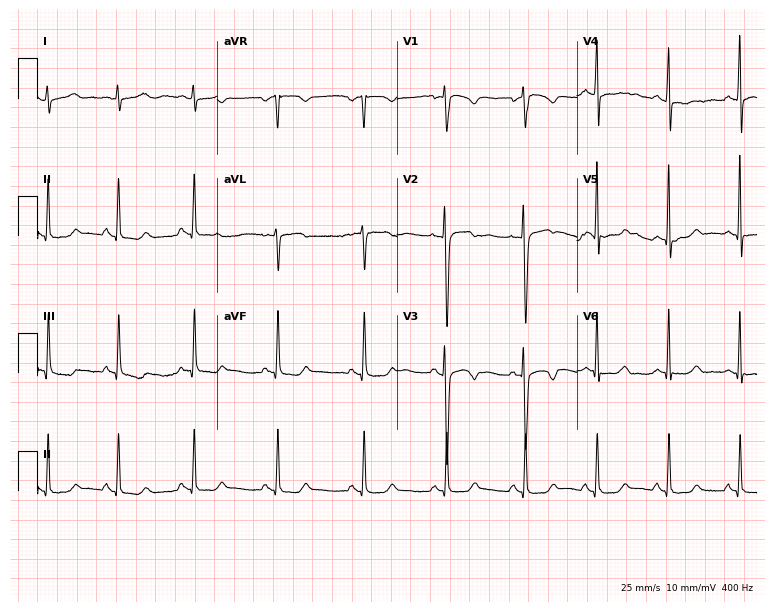
Standard 12-lead ECG recorded from a female patient, 33 years old (7.3-second recording at 400 Hz). None of these six findings is recorded: first-degree AV block, right bundle branch block (RBBB), left bundle branch block (LBBB), sinus bradycardia, atrial fibrillation (AF), sinus tachycardia.